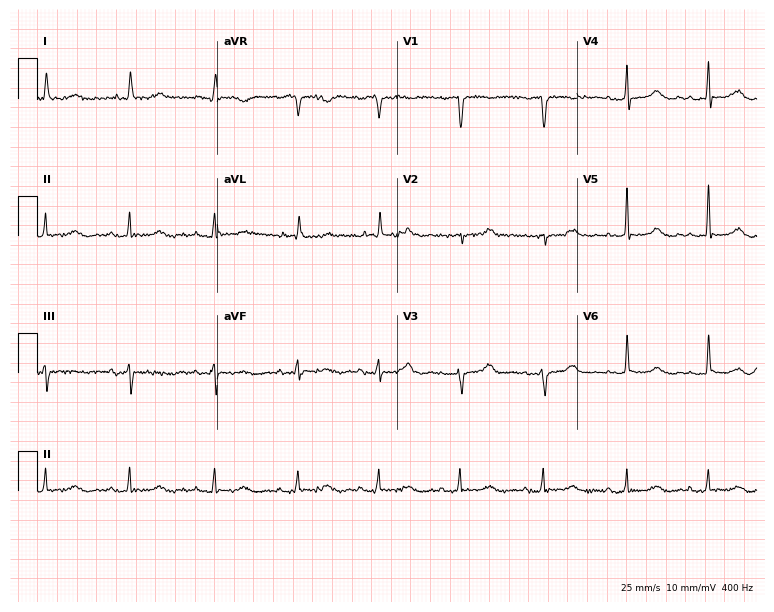
12-lead ECG from a female patient, 84 years old. No first-degree AV block, right bundle branch block, left bundle branch block, sinus bradycardia, atrial fibrillation or sinus tachycardia recorded for this tracing.